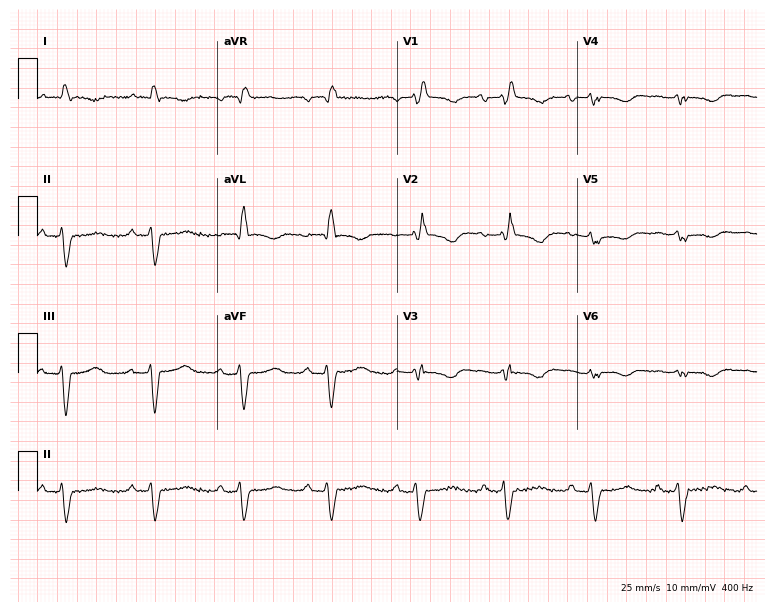
Standard 12-lead ECG recorded from a female patient, 79 years old (7.3-second recording at 400 Hz). The tracing shows first-degree AV block, right bundle branch block.